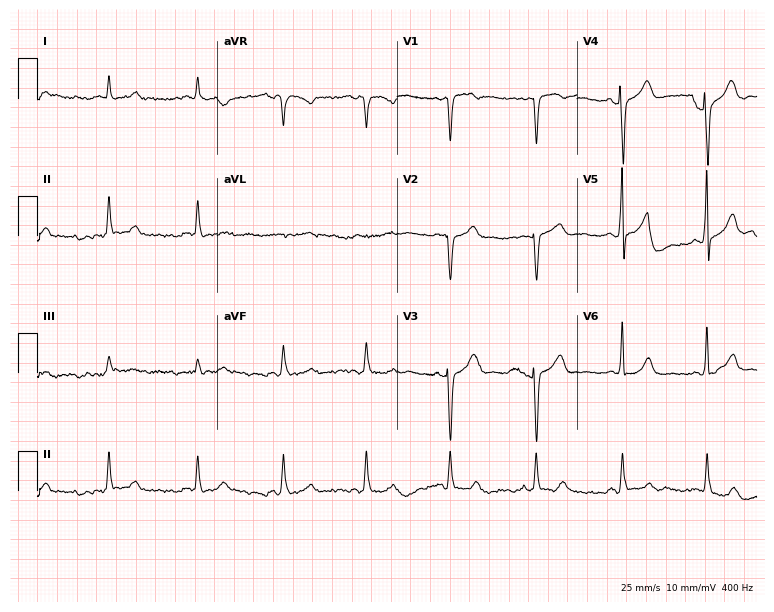
12-lead ECG from a man, 64 years old (7.3-second recording at 400 Hz). No first-degree AV block, right bundle branch block, left bundle branch block, sinus bradycardia, atrial fibrillation or sinus tachycardia recorded for this tracing.